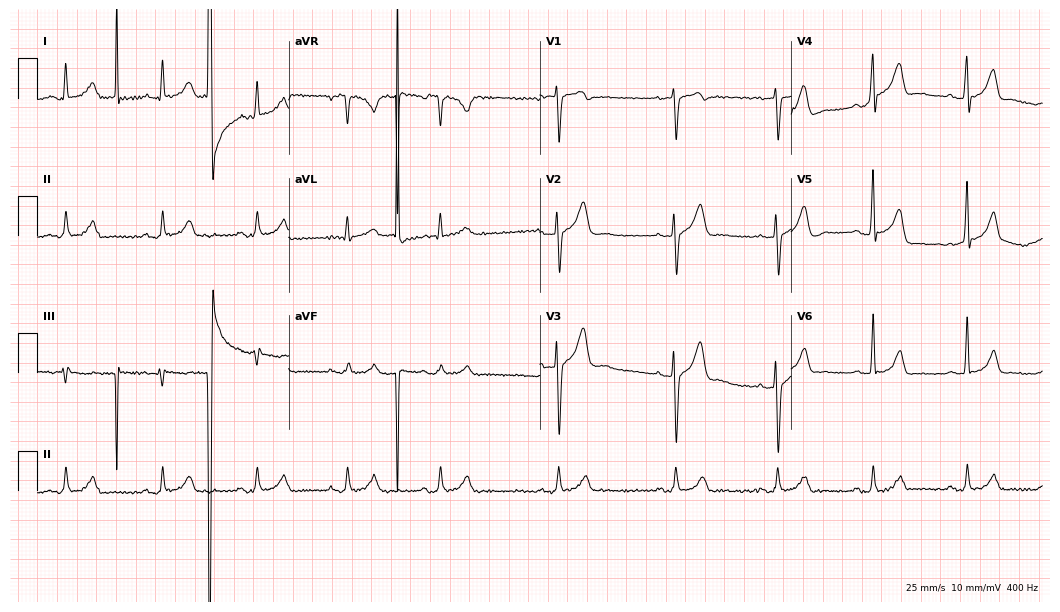
Electrocardiogram, a man, 37 years old. Overall reading on record: normal ECG.